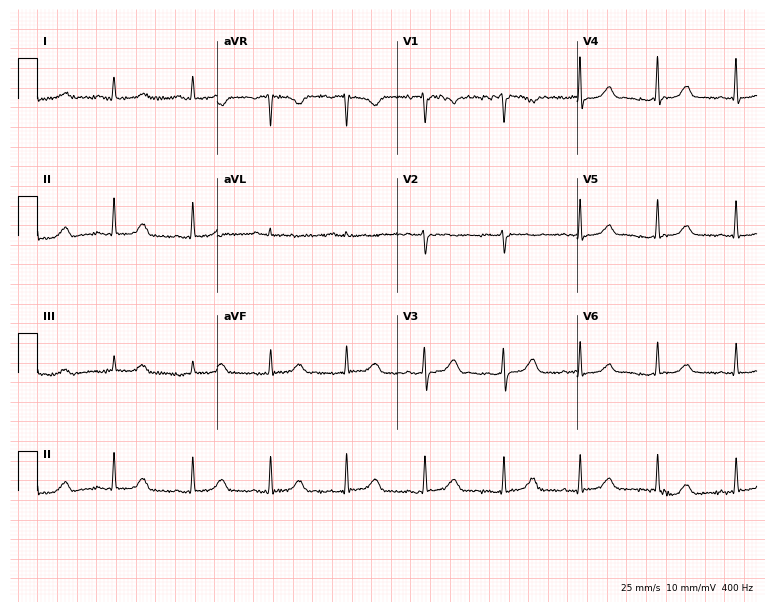
12-lead ECG from a 64-year-old female. Recorded interpretation: within normal limits.